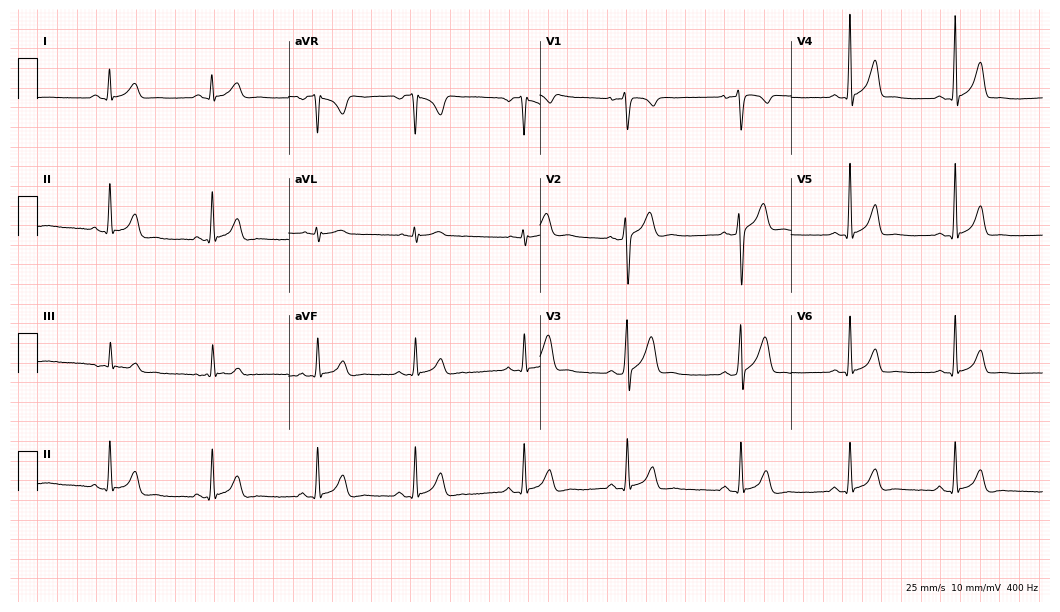
ECG — a male, 22 years old. Labelled as a normal ECG.